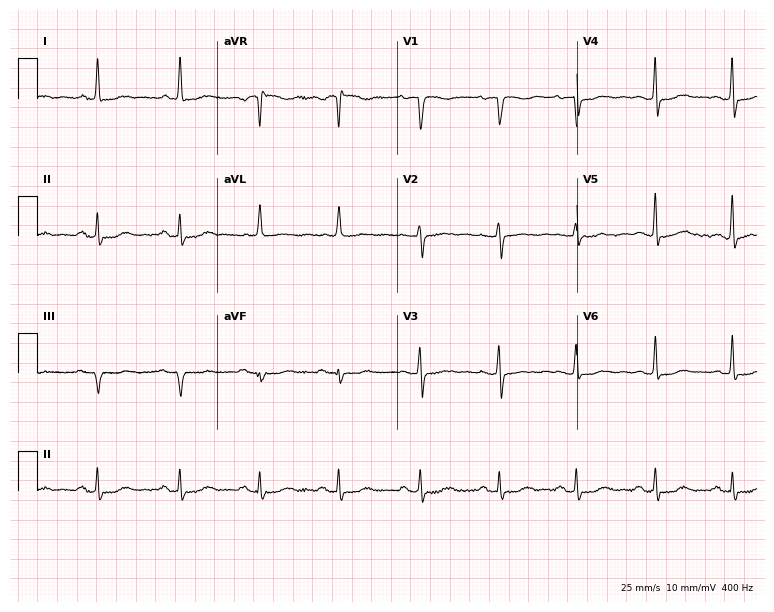
Standard 12-lead ECG recorded from a female patient, 65 years old. None of these six findings is recorded: first-degree AV block, right bundle branch block, left bundle branch block, sinus bradycardia, atrial fibrillation, sinus tachycardia. Other findings, if any, are not listed.